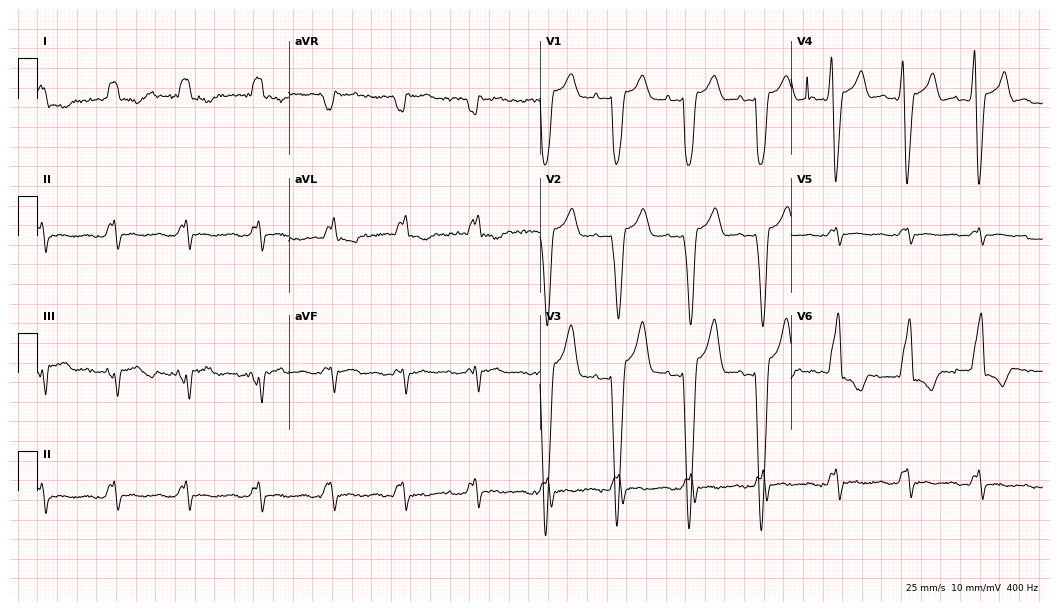
Electrocardiogram, a 71-year-old male. Interpretation includes left bundle branch block.